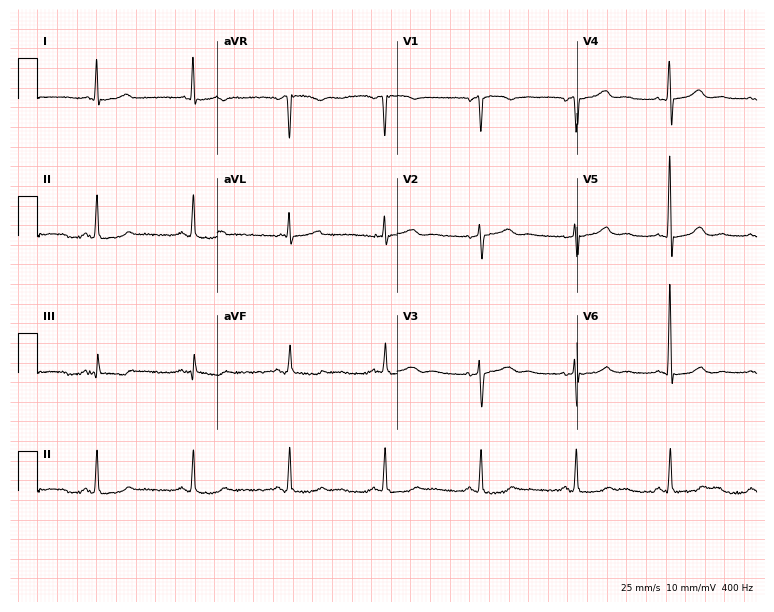
Resting 12-lead electrocardiogram. Patient: a female, 63 years old. Read as a normal ECG.